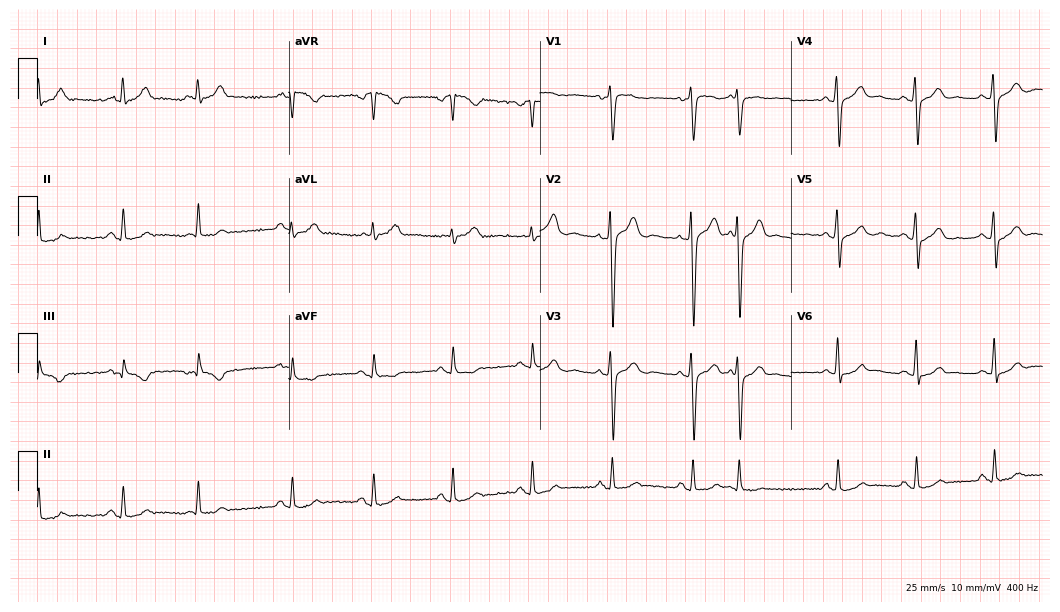
12-lead ECG from a male, 53 years old. Recorded interpretation: within normal limits.